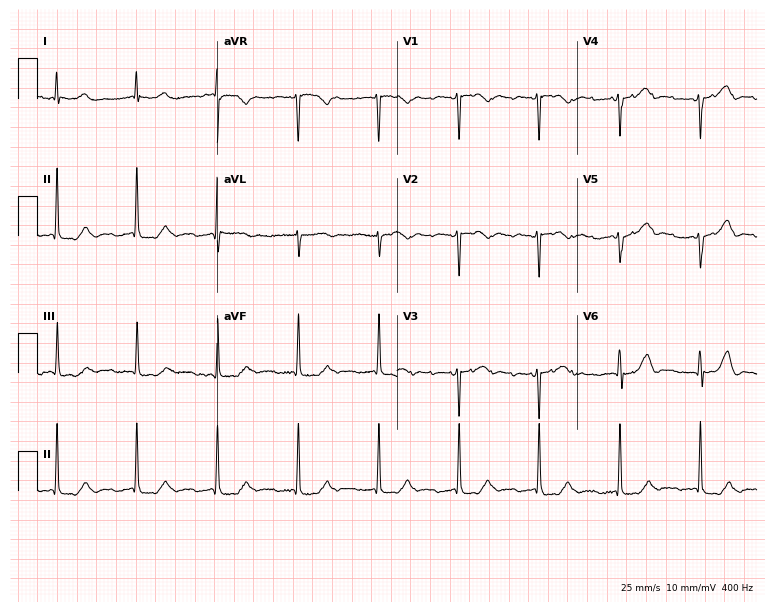
Electrocardiogram, a woman, 80 years old. Of the six screened findings (first-degree AV block, right bundle branch block, left bundle branch block, sinus bradycardia, atrial fibrillation, sinus tachycardia), none is recorded.